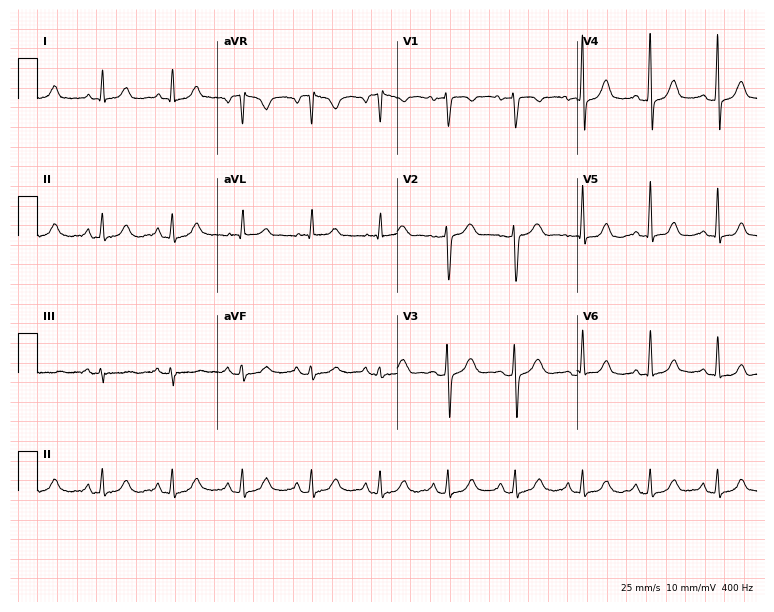
12-lead ECG from a 43-year-old woman. Recorded interpretation: within normal limits.